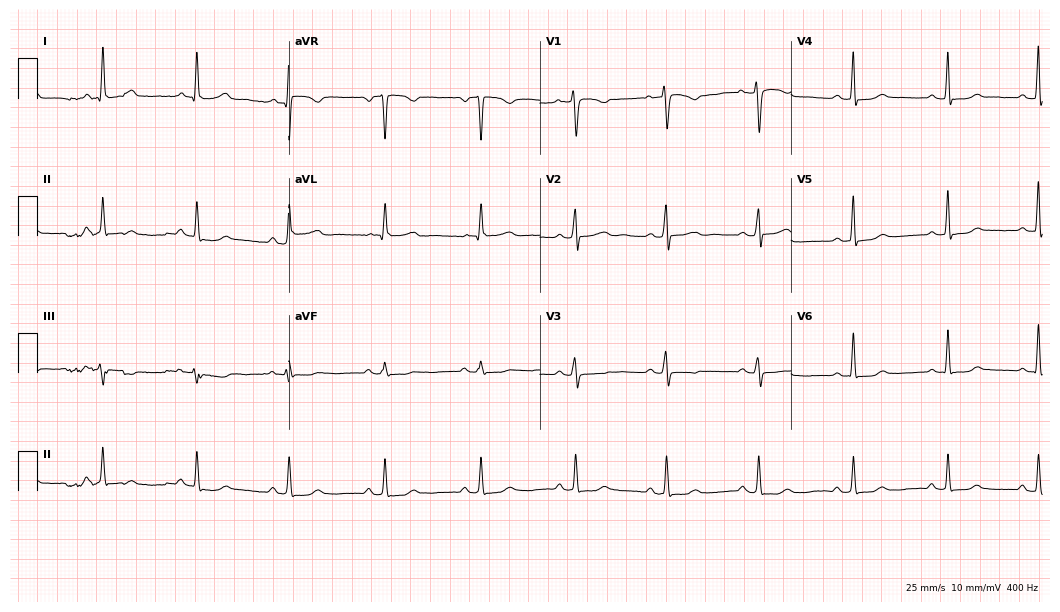
12-lead ECG from a female, 55 years old. Labelled as a normal ECG.